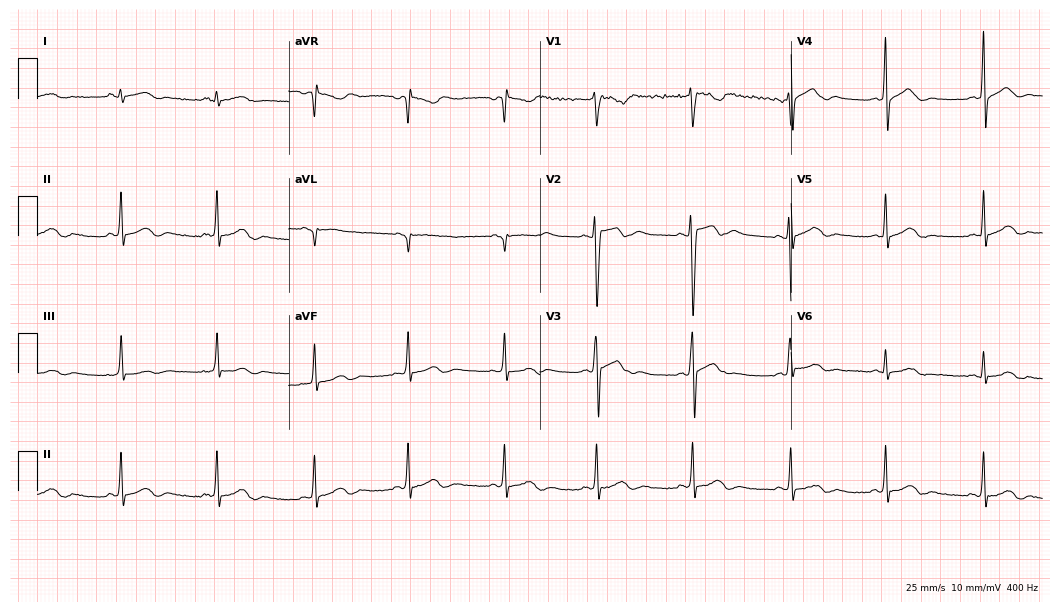
Standard 12-lead ECG recorded from a male, 20 years old. Read as a normal ECG.